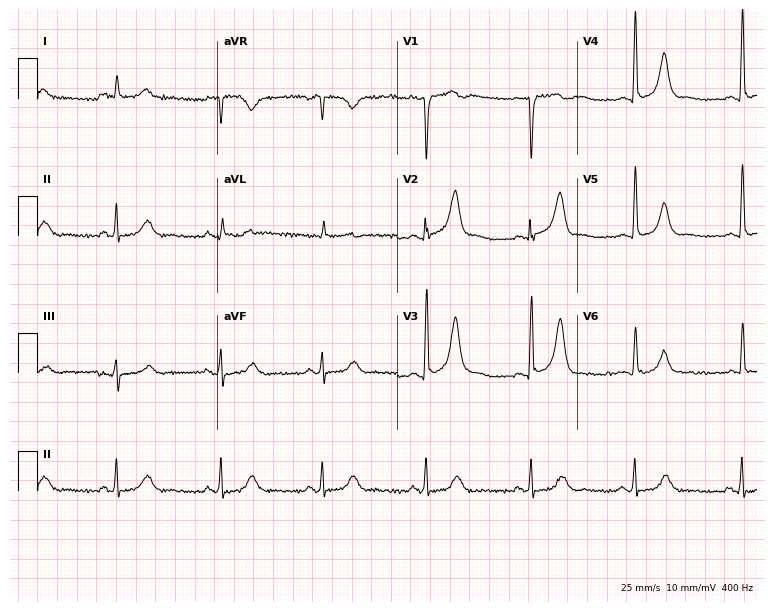
Electrocardiogram, a man, 69 years old. Of the six screened findings (first-degree AV block, right bundle branch block, left bundle branch block, sinus bradycardia, atrial fibrillation, sinus tachycardia), none is recorded.